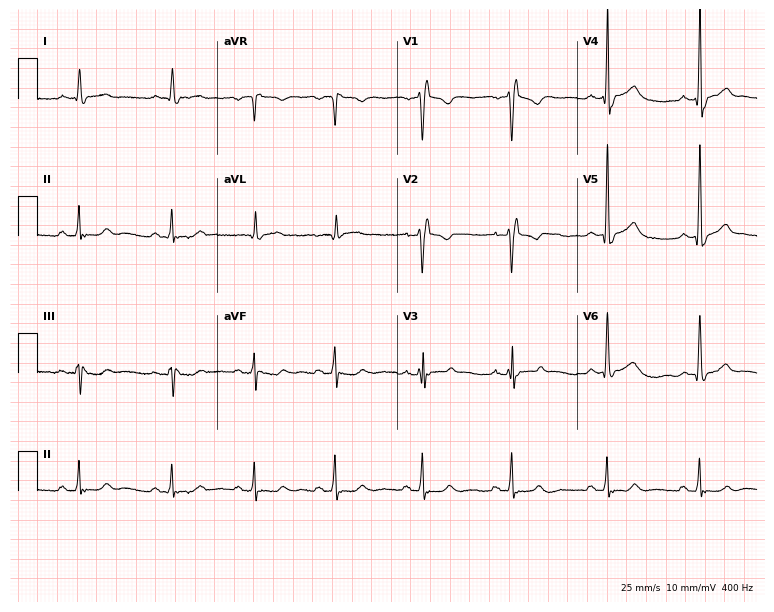
Standard 12-lead ECG recorded from a man, 37 years old. None of these six findings is recorded: first-degree AV block, right bundle branch block (RBBB), left bundle branch block (LBBB), sinus bradycardia, atrial fibrillation (AF), sinus tachycardia. Only these six findings were labelled.